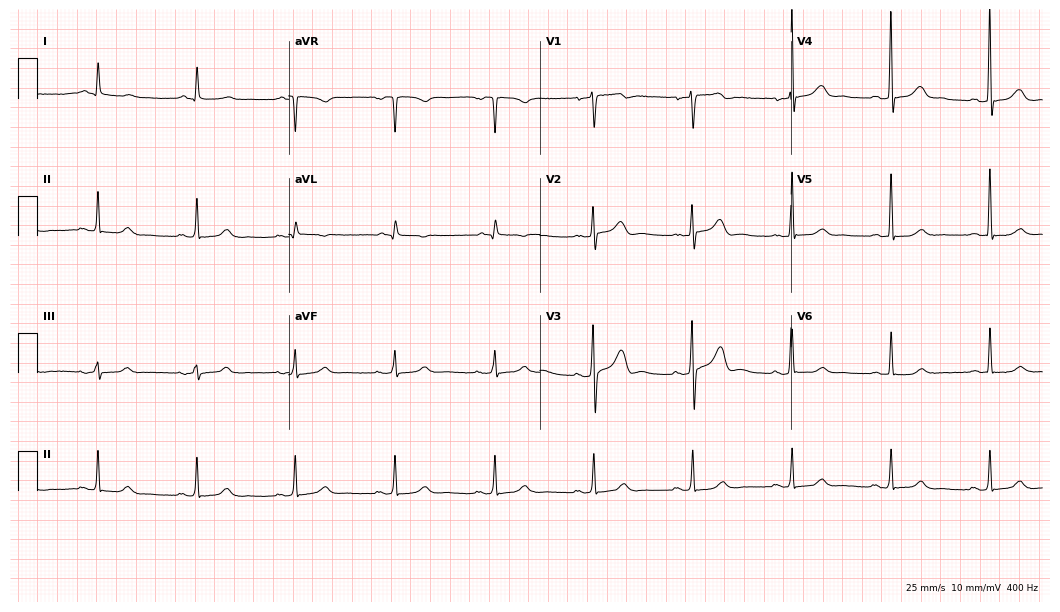
ECG (10.2-second recording at 400 Hz) — a male patient, 80 years old. Labelled as a normal ECG.